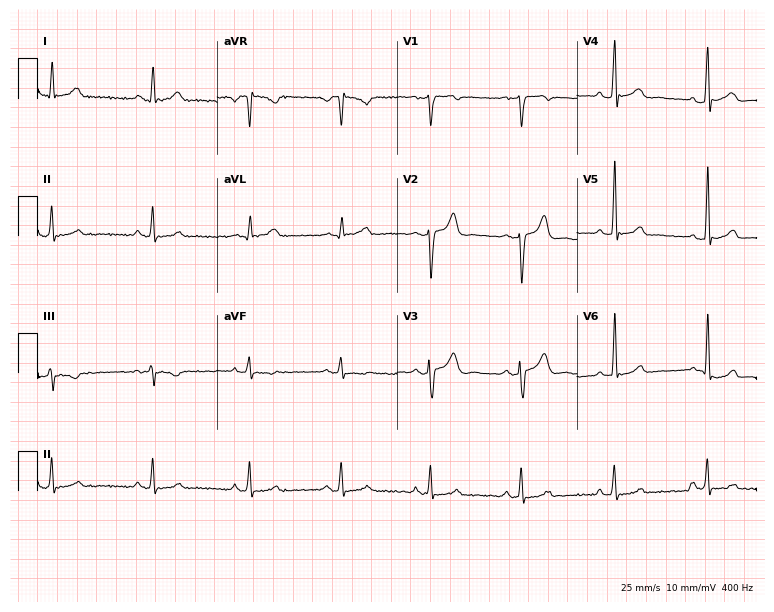
12-lead ECG from a 46-year-old man. Screened for six findings — first-degree AV block, right bundle branch block, left bundle branch block, sinus bradycardia, atrial fibrillation, sinus tachycardia — none is recorded.